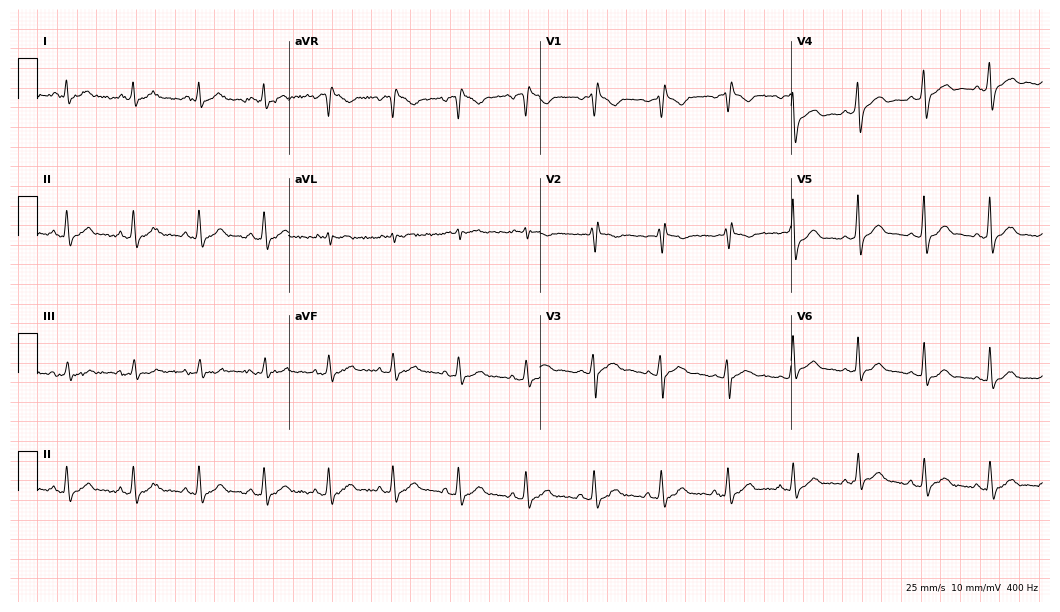
Standard 12-lead ECG recorded from a 56-year-old male patient (10.2-second recording at 400 Hz). None of these six findings is recorded: first-degree AV block, right bundle branch block, left bundle branch block, sinus bradycardia, atrial fibrillation, sinus tachycardia.